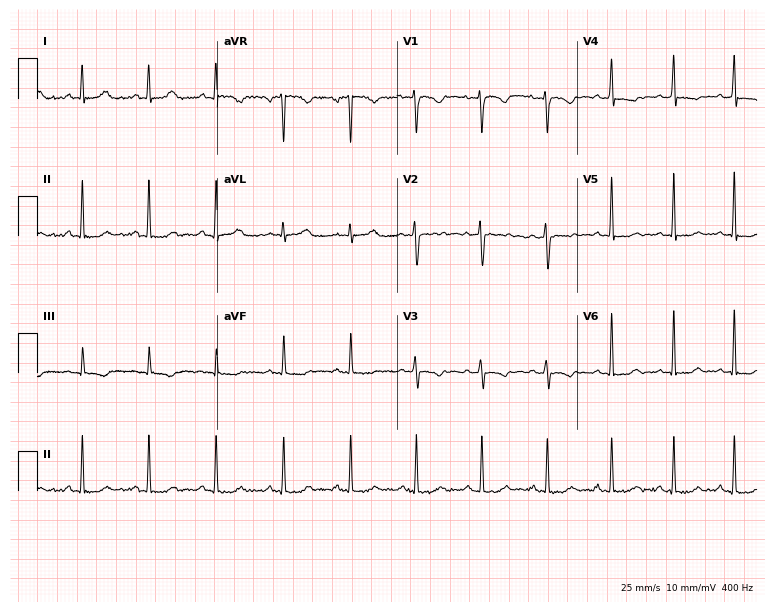
Standard 12-lead ECG recorded from a 28-year-old female. None of these six findings is recorded: first-degree AV block, right bundle branch block (RBBB), left bundle branch block (LBBB), sinus bradycardia, atrial fibrillation (AF), sinus tachycardia.